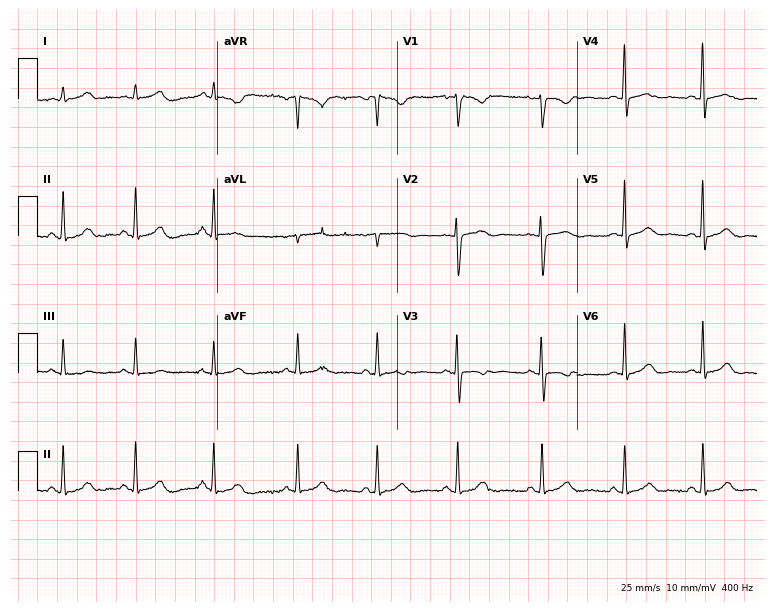
Electrocardiogram, a 41-year-old female. Overall reading on record: normal ECG.